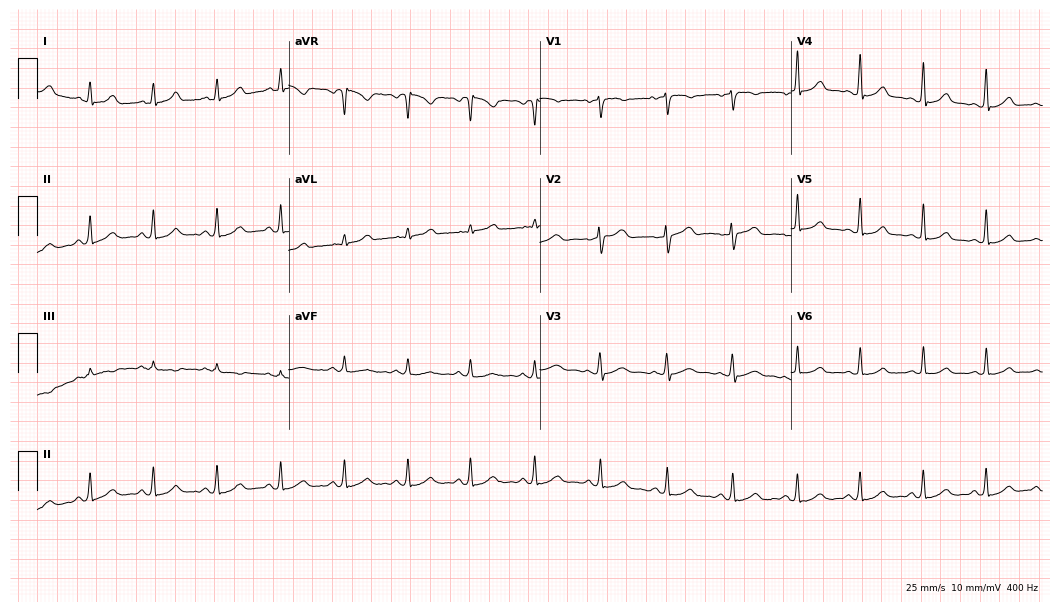
Standard 12-lead ECG recorded from a female patient, 37 years old. Read as a normal ECG.